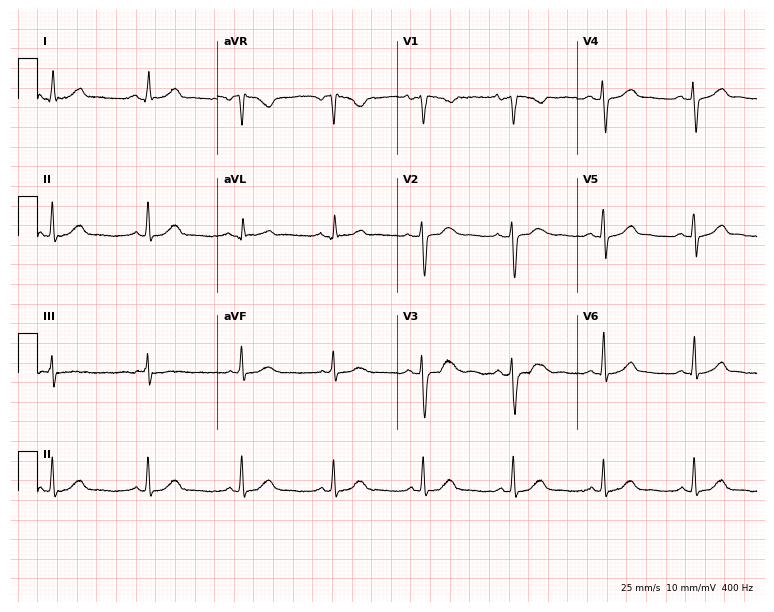
Electrocardiogram, a 63-year-old man. Overall reading on record: normal ECG.